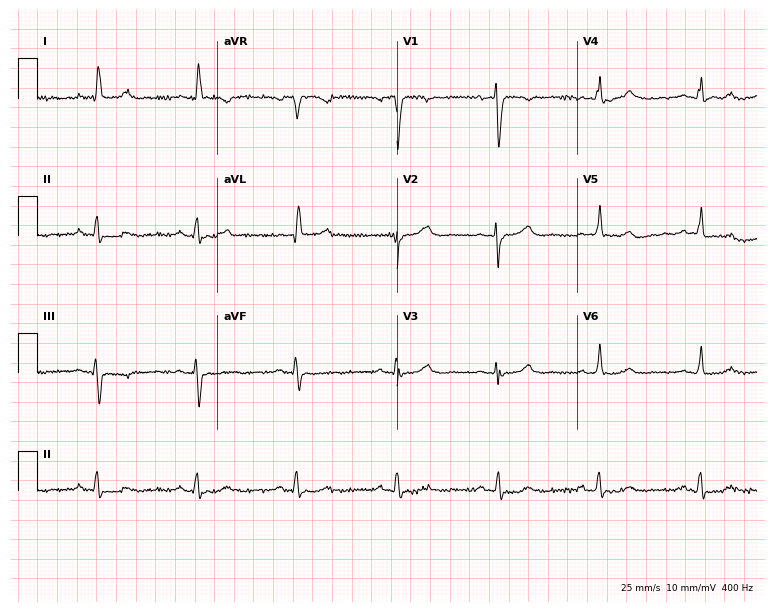
Resting 12-lead electrocardiogram. Patient: a female, 75 years old. None of these six findings is recorded: first-degree AV block, right bundle branch block, left bundle branch block, sinus bradycardia, atrial fibrillation, sinus tachycardia. Other findings, if any, are not listed.